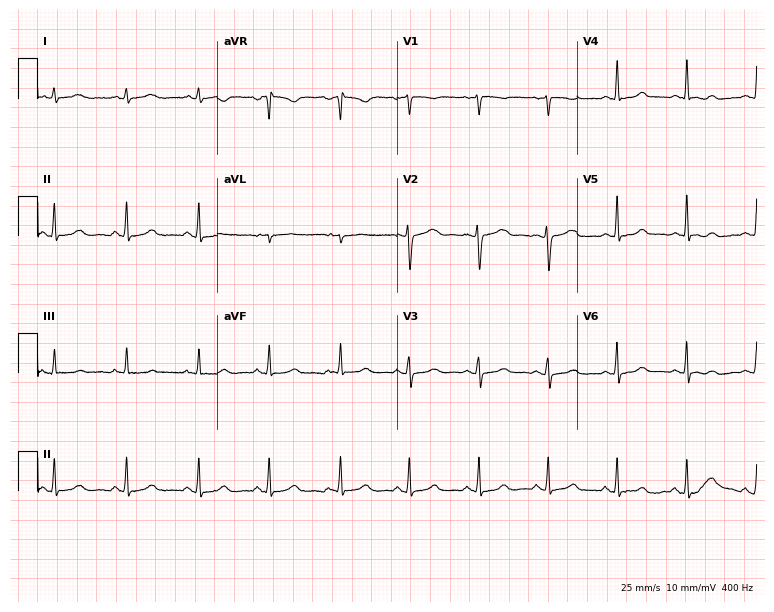
12-lead ECG from a female, 38 years old. Recorded interpretation: within normal limits.